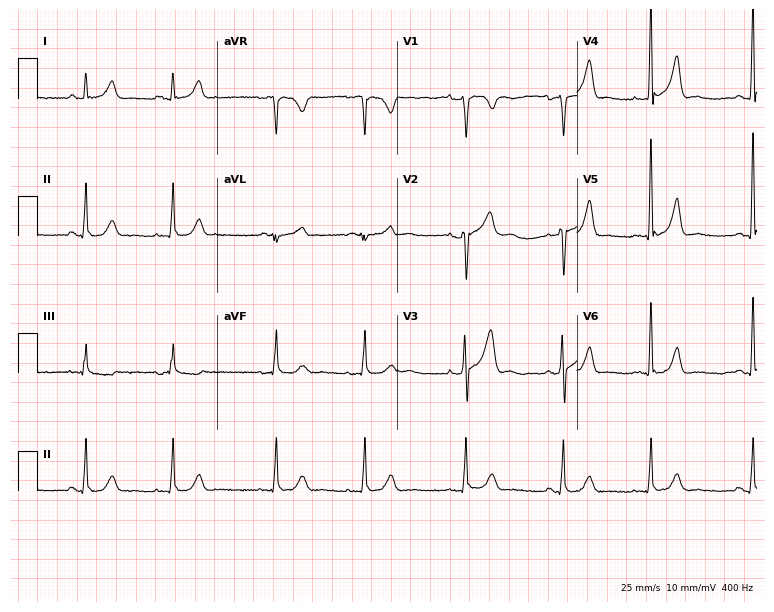
12-lead ECG from a 63-year-old male patient (7.3-second recording at 400 Hz). Recorded interpretation: within normal limits.